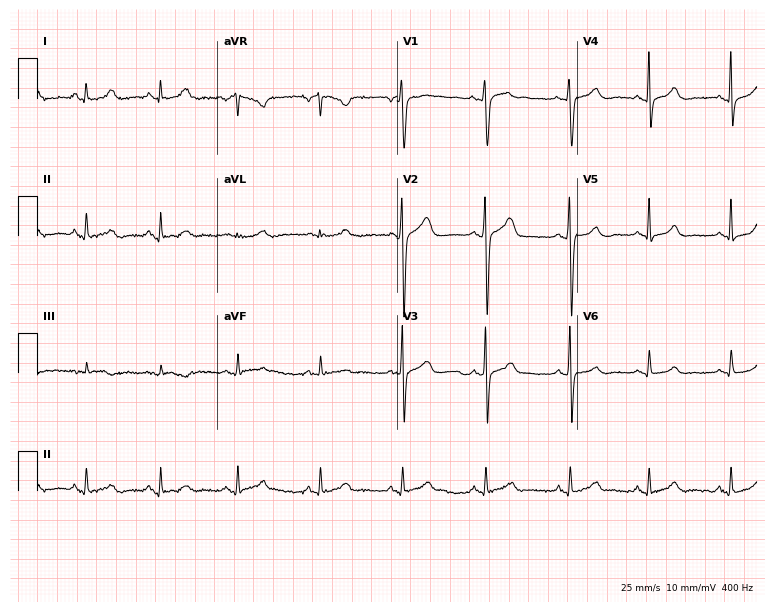
Resting 12-lead electrocardiogram (7.3-second recording at 400 Hz). Patient: a 27-year-old male. None of these six findings is recorded: first-degree AV block, right bundle branch block, left bundle branch block, sinus bradycardia, atrial fibrillation, sinus tachycardia. Other findings, if any, are not listed.